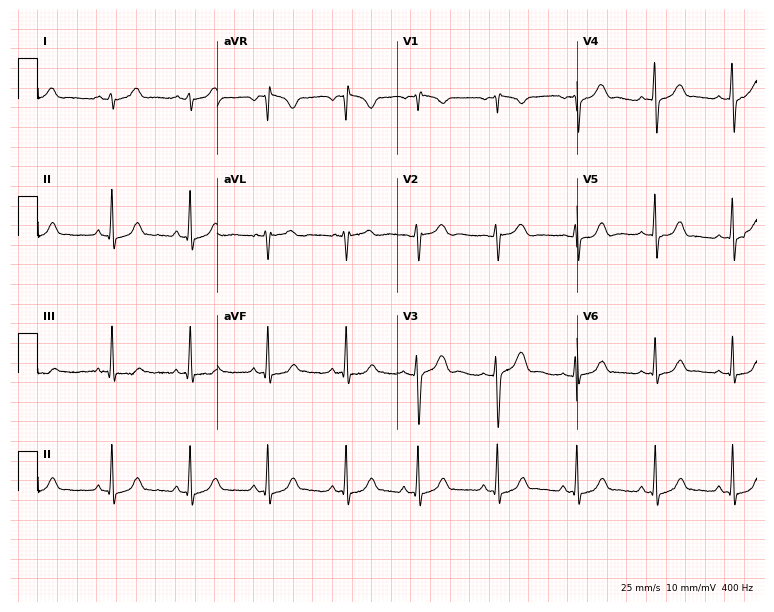
Electrocardiogram (7.3-second recording at 400 Hz), a 25-year-old woman. Overall reading on record: normal ECG.